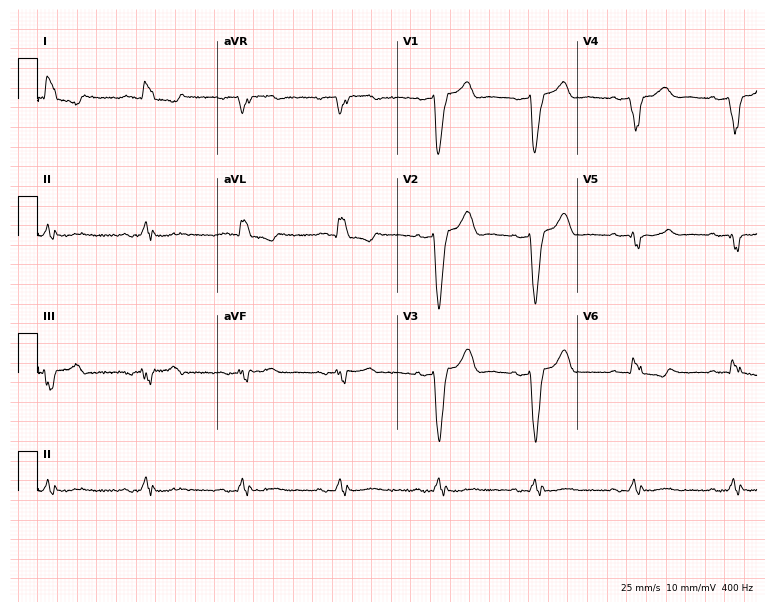
12-lead ECG from an 87-year-old man (7.3-second recording at 400 Hz). Shows left bundle branch block (LBBB).